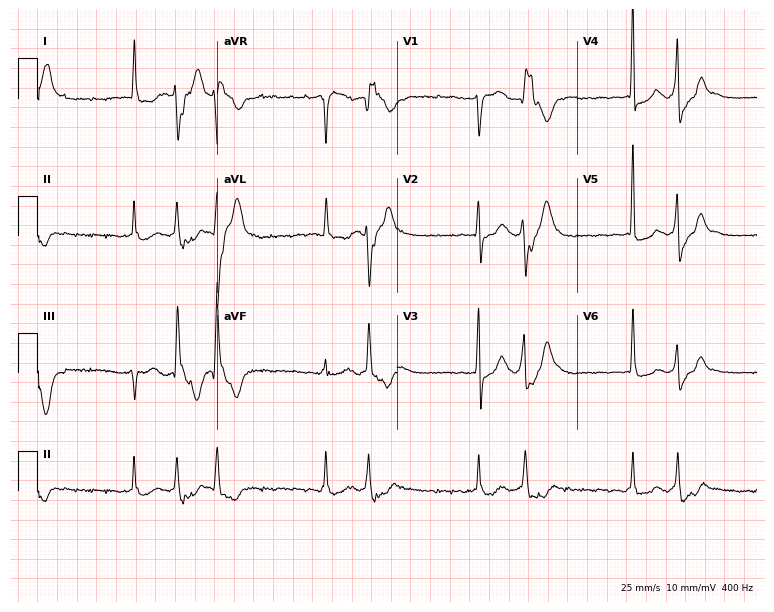
12-lead ECG (7.3-second recording at 400 Hz) from a woman, 65 years old. Findings include atrial fibrillation.